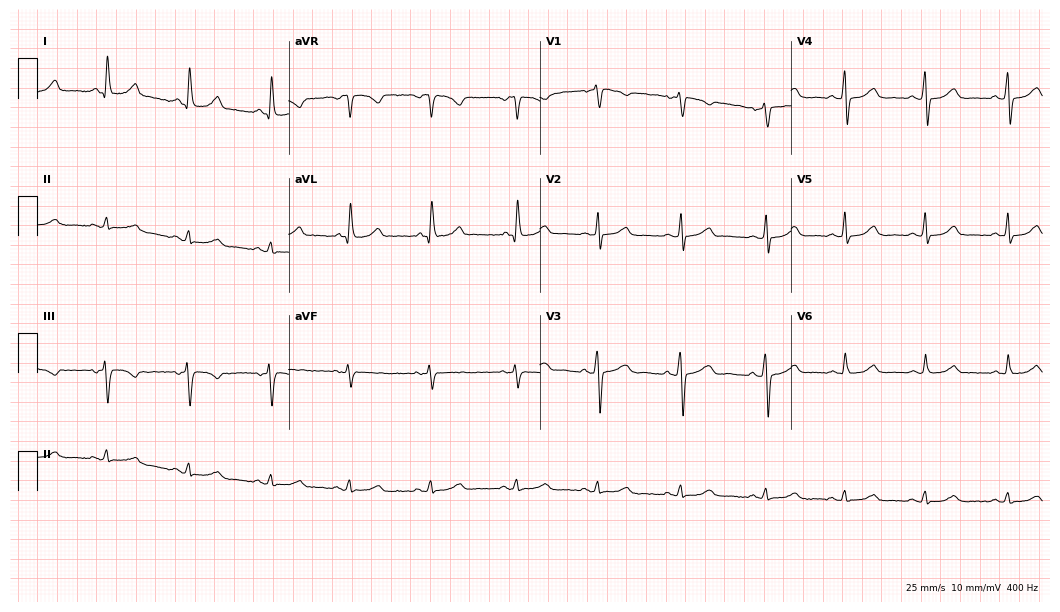
12-lead ECG from a woman, 48 years old. Recorded interpretation: within normal limits.